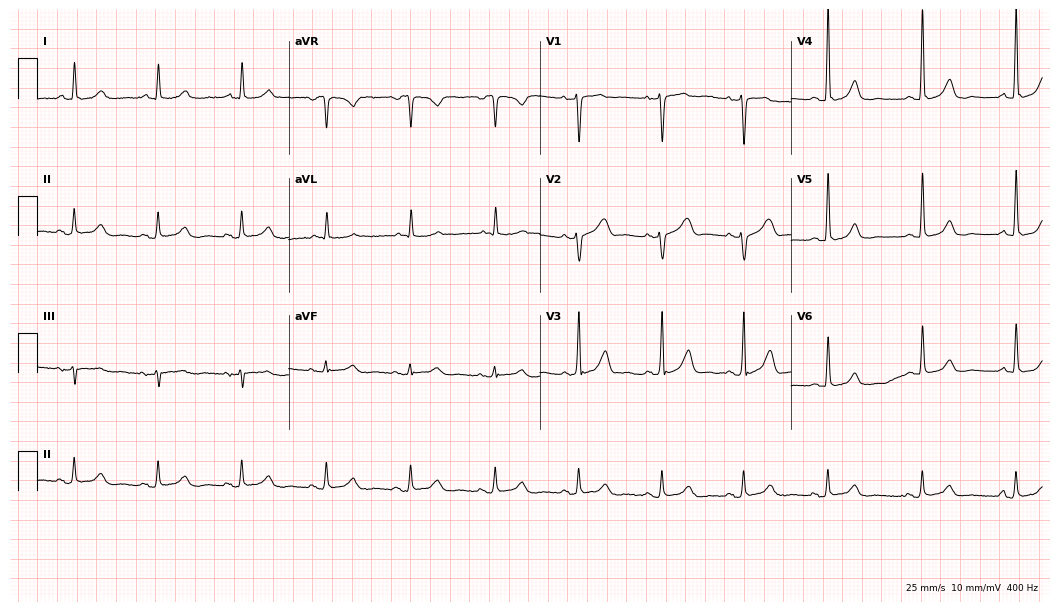
Standard 12-lead ECG recorded from a female patient, 73 years old (10.2-second recording at 400 Hz). Read as a normal ECG.